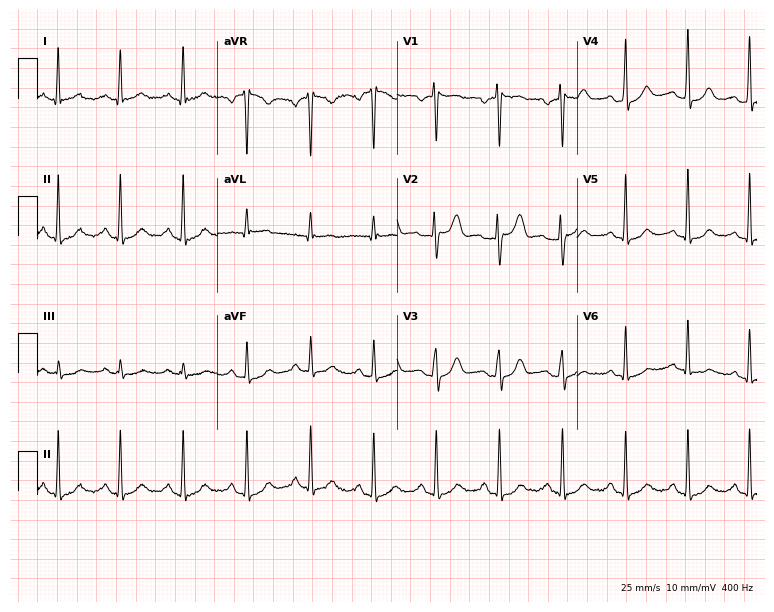
Resting 12-lead electrocardiogram (7.3-second recording at 400 Hz). Patient: a 44-year-old woman. None of these six findings is recorded: first-degree AV block, right bundle branch block, left bundle branch block, sinus bradycardia, atrial fibrillation, sinus tachycardia.